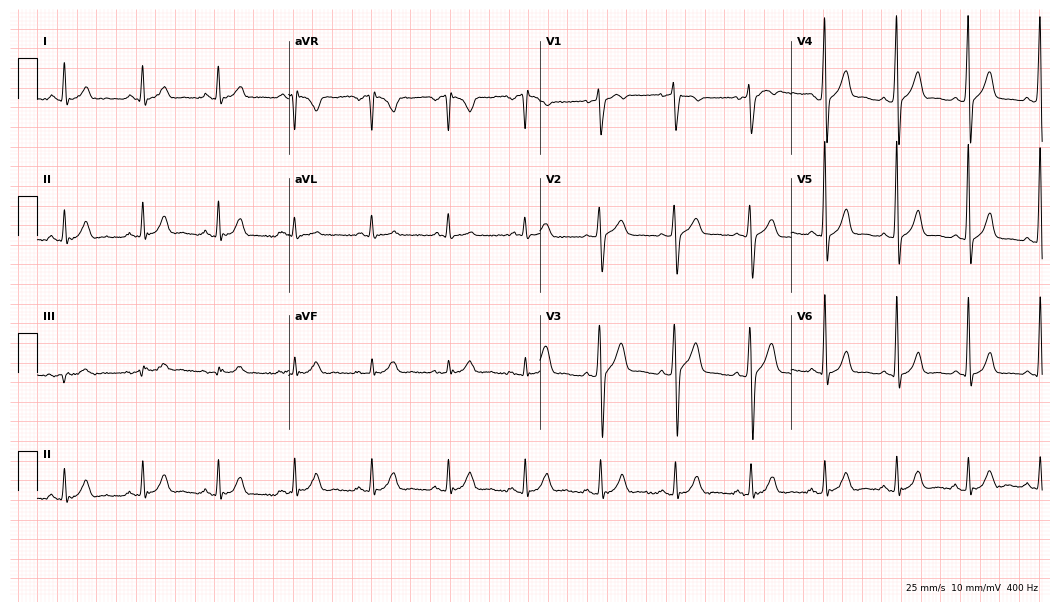
12-lead ECG from a 45-year-old male. Screened for six findings — first-degree AV block, right bundle branch block, left bundle branch block, sinus bradycardia, atrial fibrillation, sinus tachycardia — none is recorded.